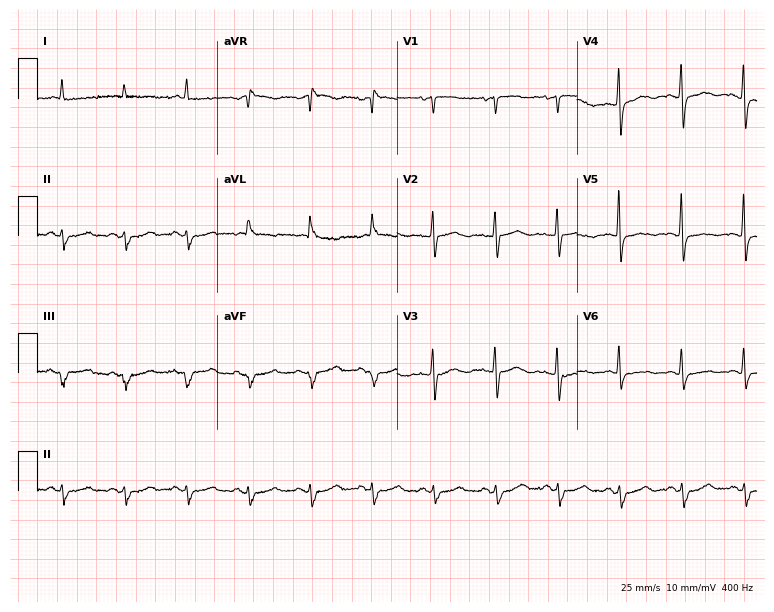
ECG — a female patient, 67 years old. Screened for six findings — first-degree AV block, right bundle branch block (RBBB), left bundle branch block (LBBB), sinus bradycardia, atrial fibrillation (AF), sinus tachycardia — none is recorded.